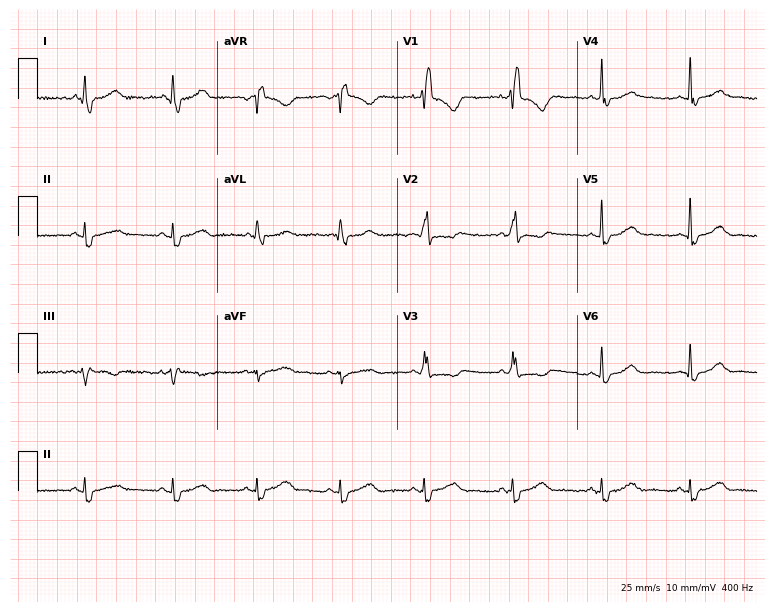
Resting 12-lead electrocardiogram. Patient: a 41-year-old female. The tracing shows right bundle branch block.